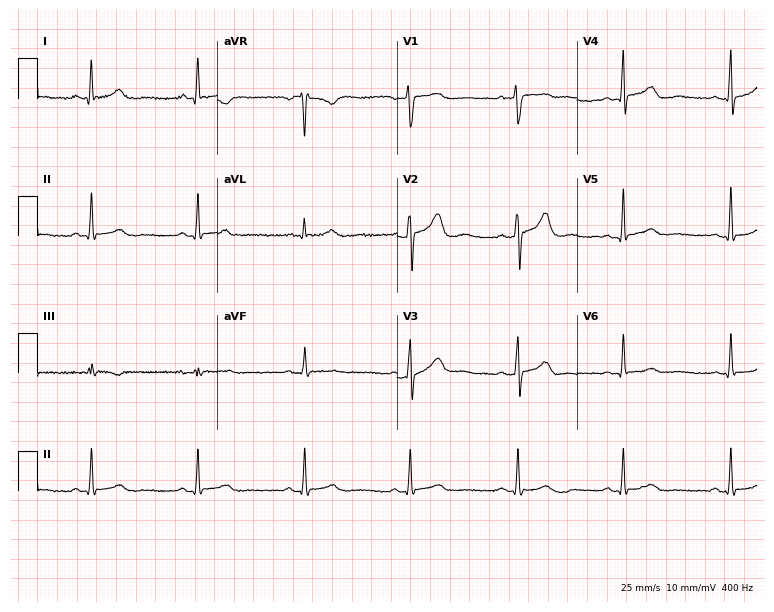
12-lead ECG from a 41-year-old man. Screened for six findings — first-degree AV block, right bundle branch block (RBBB), left bundle branch block (LBBB), sinus bradycardia, atrial fibrillation (AF), sinus tachycardia — none is recorded.